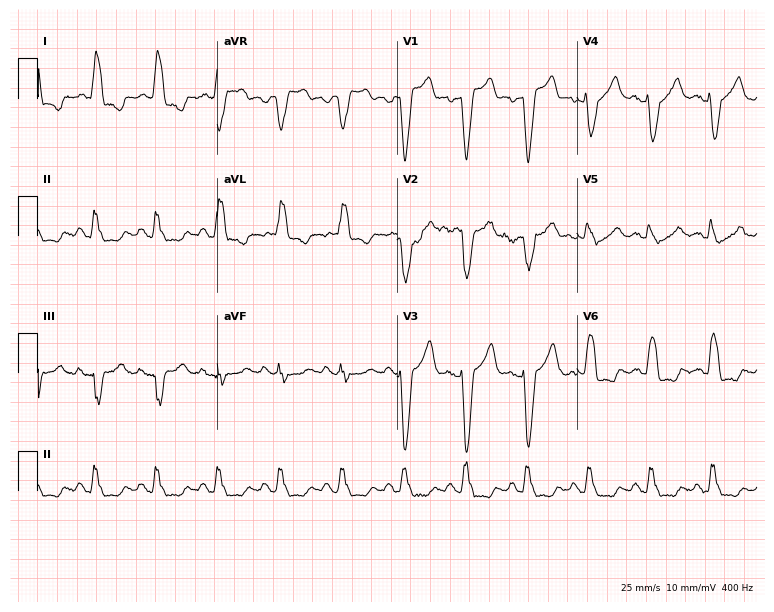
Resting 12-lead electrocardiogram. Patient: a male, 61 years old. The tracing shows left bundle branch block.